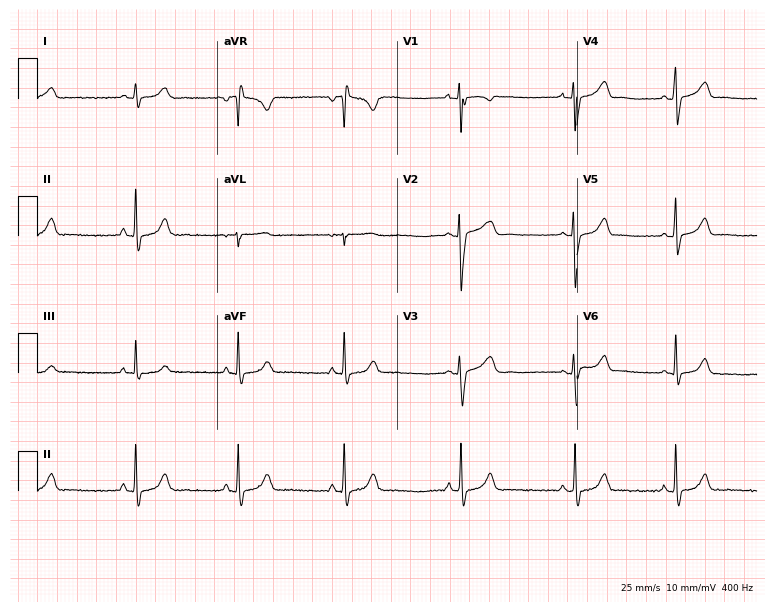
ECG — a female, 19 years old. Screened for six findings — first-degree AV block, right bundle branch block, left bundle branch block, sinus bradycardia, atrial fibrillation, sinus tachycardia — none is recorded. Findings outside these six are not listed.